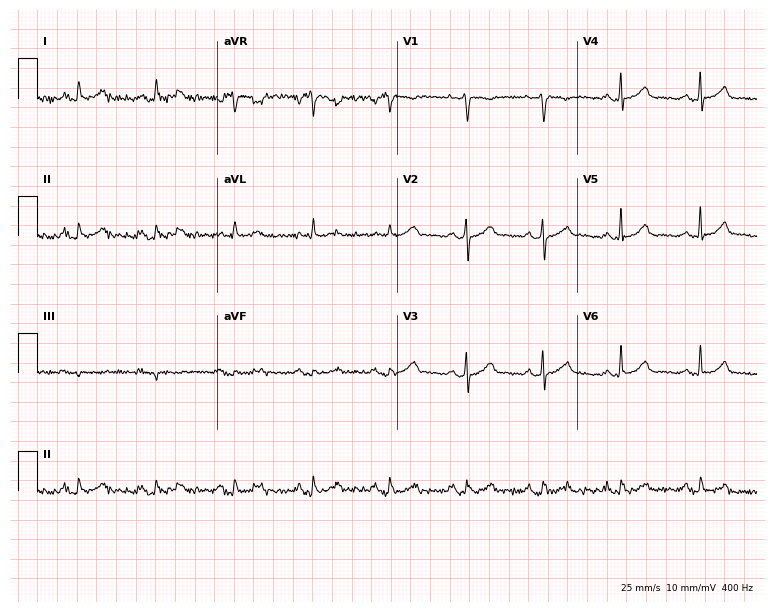
12-lead ECG from a 46-year-old man. Screened for six findings — first-degree AV block, right bundle branch block, left bundle branch block, sinus bradycardia, atrial fibrillation, sinus tachycardia — none is recorded. Other findings, if any, are not listed.